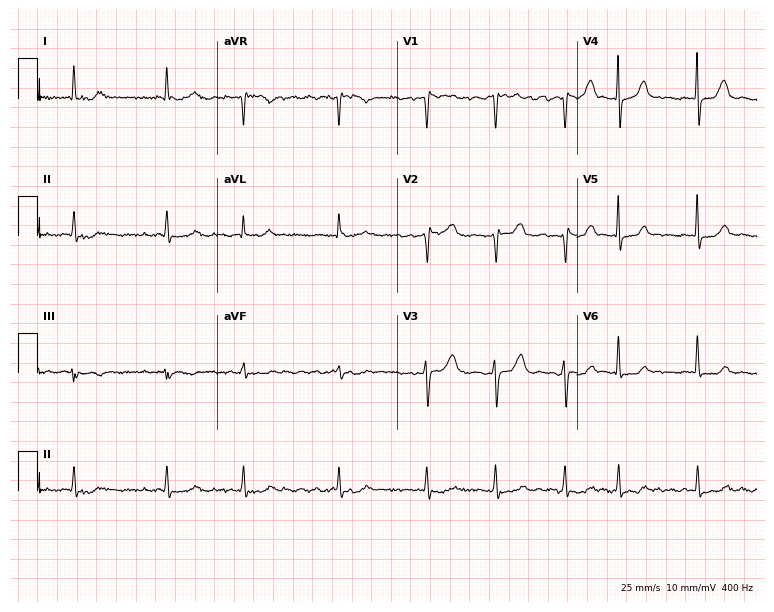
12-lead ECG from a female patient, 54 years old (7.3-second recording at 400 Hz). Shows atrial fibrillation.